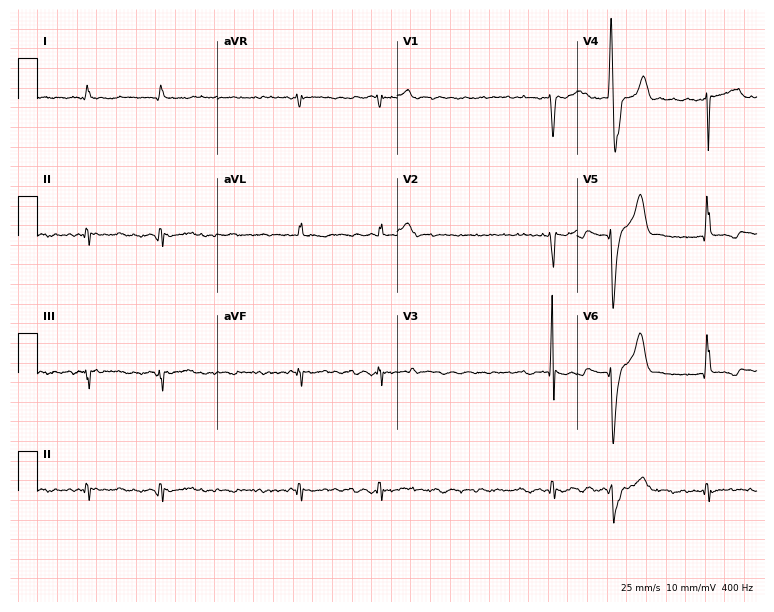
12-lead ECG (7.3-second recording at 400 Hz) from a 55-year-old male. Findings include atrial fibrillation.